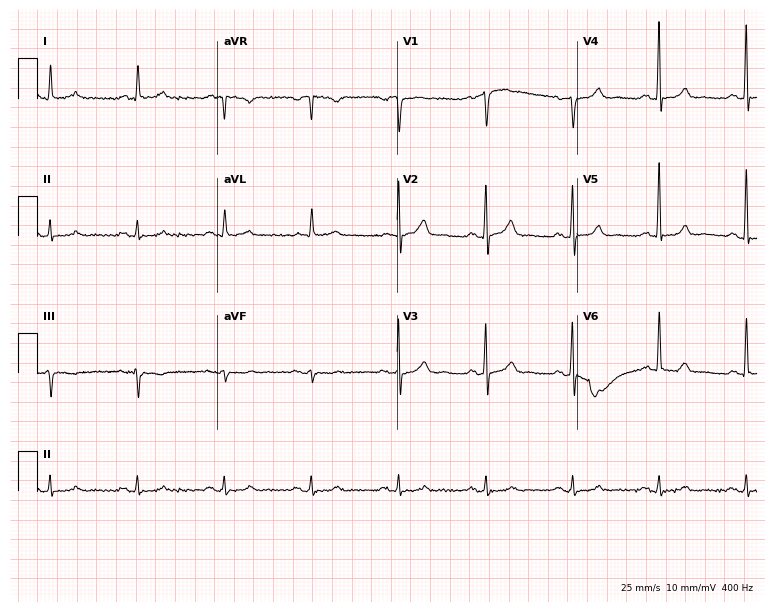
Electrocardiogram, a male, 73 years old. Of the six screened findings (first-degree AV block, right bundle branch block, left bundle branch block, sinus bradycardia, atrial fibrillation, sinus tachycardia), none is recorded.